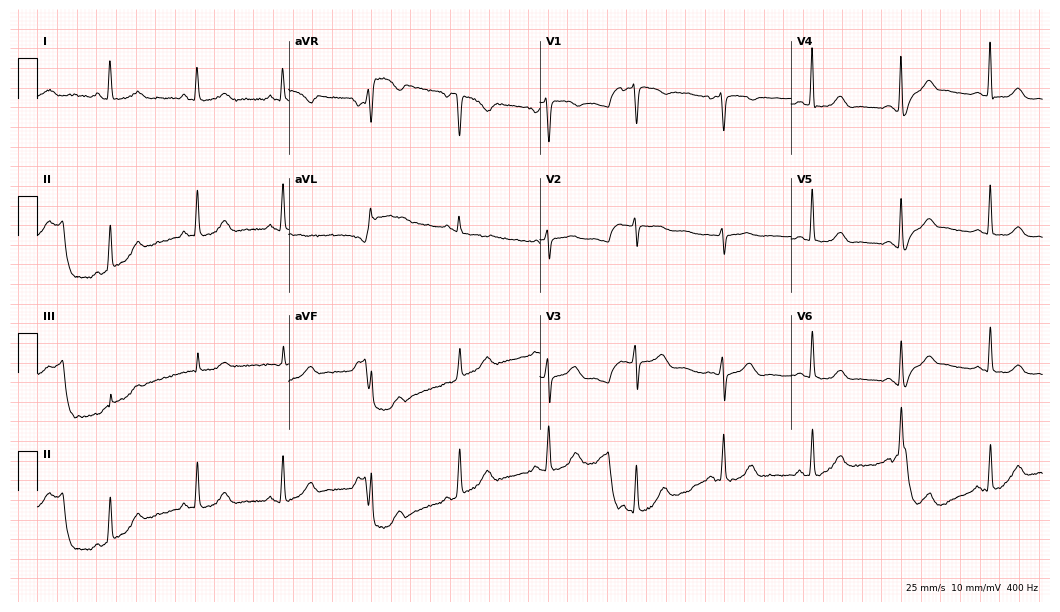
ECG — a 63-year-old female patient. Labelled as a normal ECG.